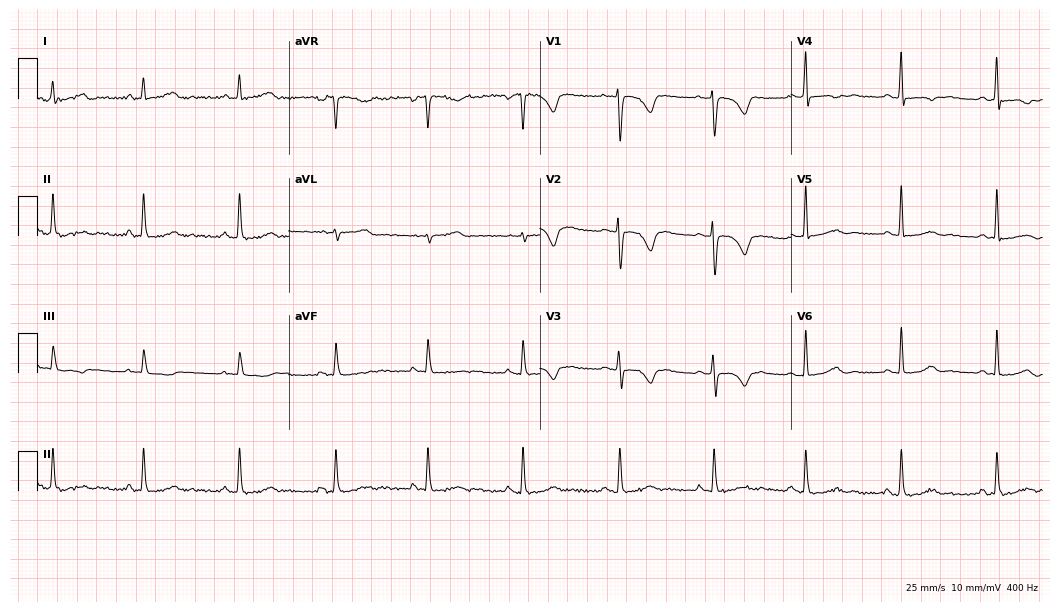
12-lead ECG from a 37-year-old female patient. No first-degree AV block, right bundle branch block, left bundle branch block, sinus bradycardia, atrial fibrillation or sinus tachycardia recorded for this tracing. Findings outside these six are not listed.